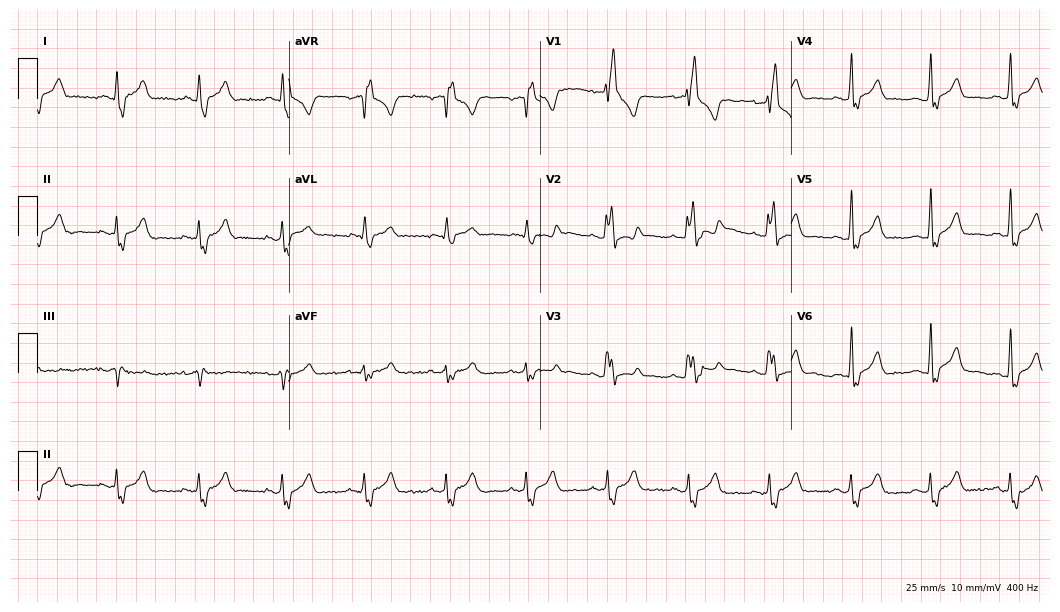
Resting 12-lead electrocardiogram. Patient: a 32-year-old male. The tracing shows right bundle branch block (RBBB).